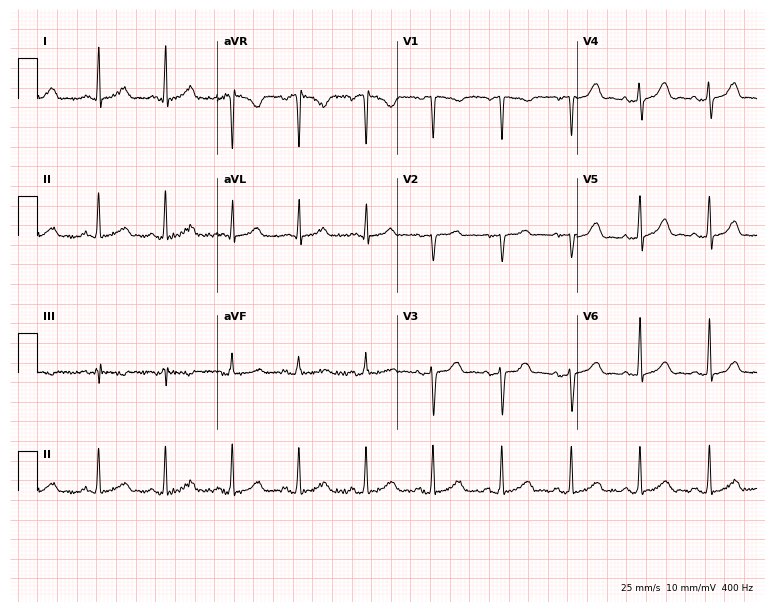
ECG — a woman, 39 years old. Screened for six findings — first-degree AV block, right bundle branch block (RBBB), left bundle branch block (LBBB), sinus bradycardia, atrial fibrillation (AF), sinus tachycardia — none is recorded. Findings outside these six are not listed.